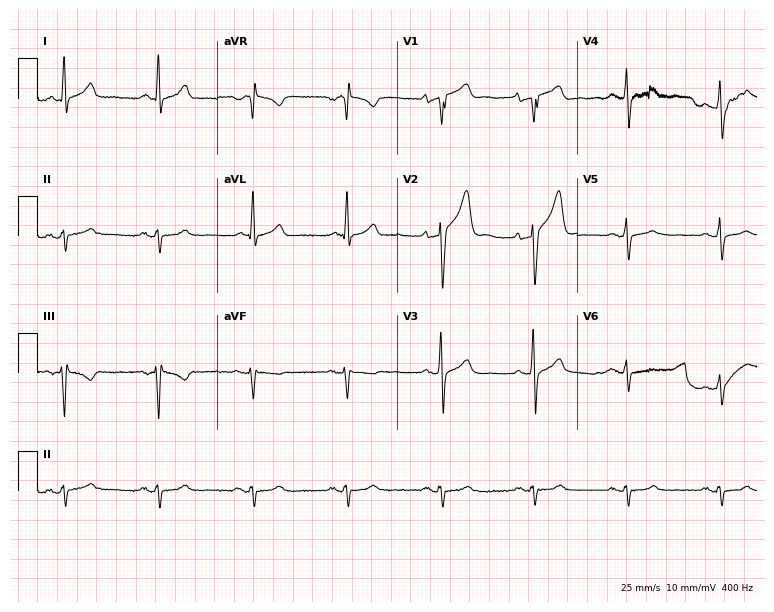
12-lead ECG from a male patient, 57 years old. No first-degree AV block, right bundle branch block (RBBB), left bundle branch block (LBBB), sinus bradycardia, atrial fibrillation (AF) or sinus tachycardia recorded for this tracing. Only these six findings were labelled.